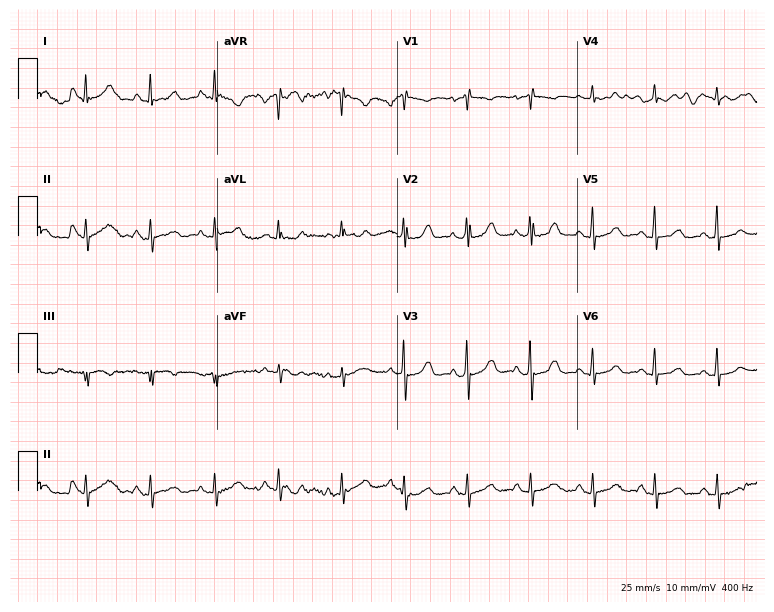
12-lead ECG from a 49-year-old female. Labelled as a normal ECG.